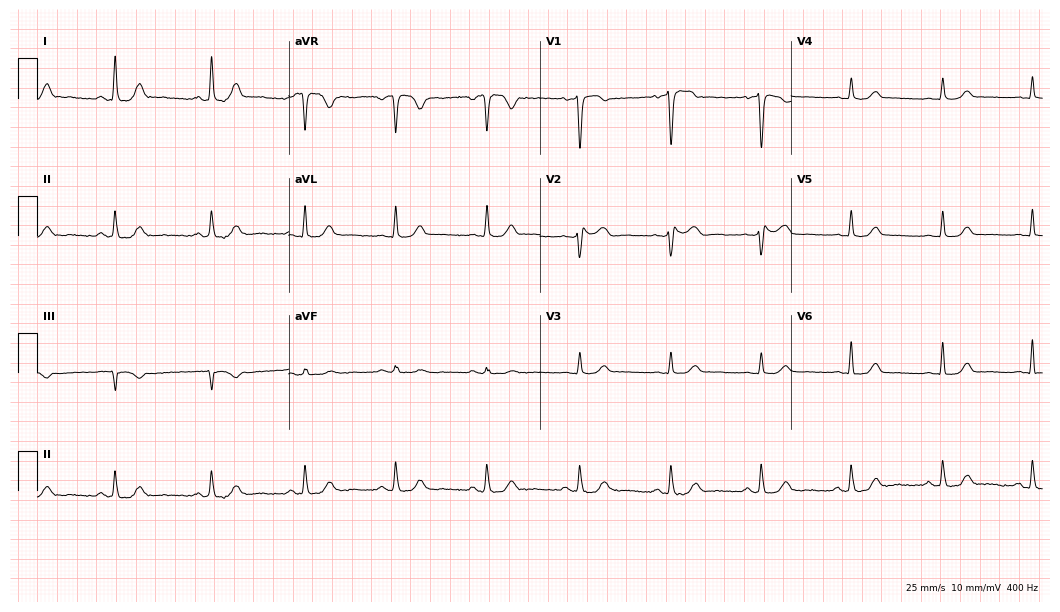
Electrocardiogram, a 76-year-old female patient. Overall reading on record: normal ECG.